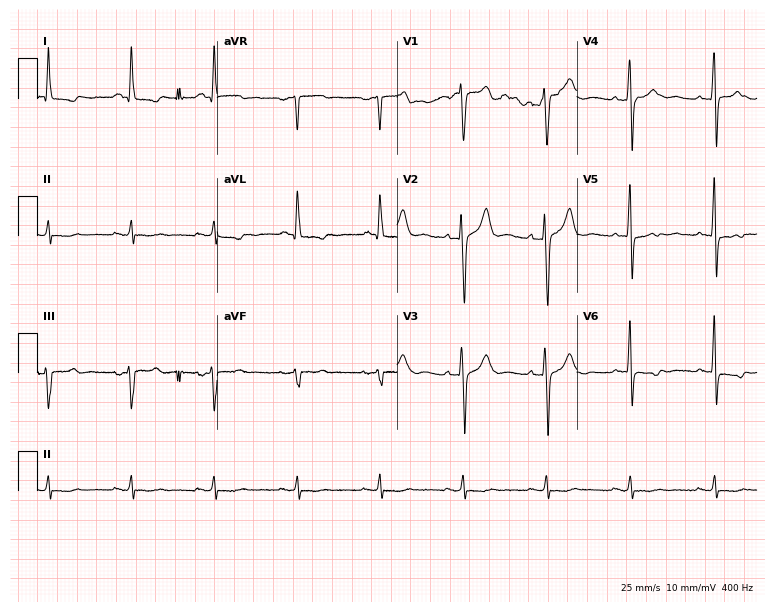
Resting 12-lead electrocardiogram (7.3-second recording at 400 Hz). Patient: a male, 63 years old. None of these six findings is recorded: first-degree AV block, right bundle branch block (RBBB), left bundle branch block (LBBB), sinus bradycardia, atrial fibrillation (AF), sinus tachycardia.